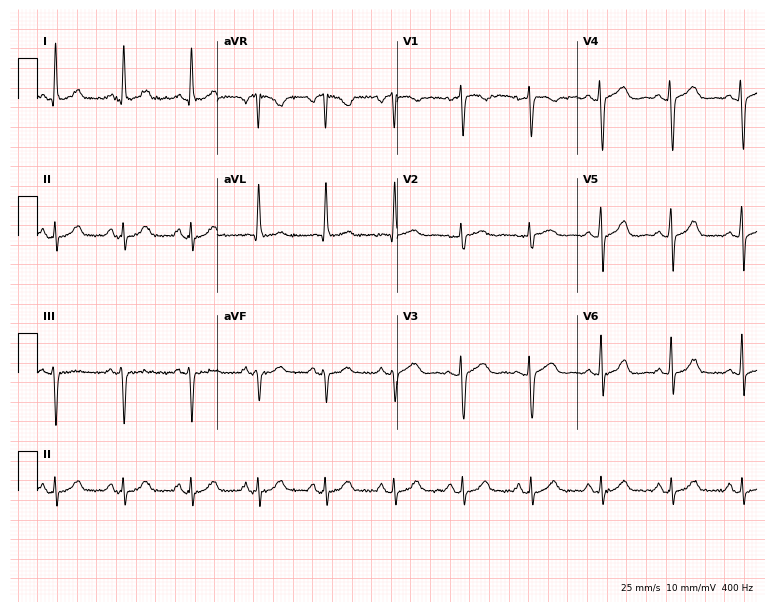
12-lead ECG from a 52-year-old woman (7.3-second recording at 400 Hz). No first-degree AV block, right bundle branch block (RBBB), left bundle branch block (LBBB), sinus bradycardia, atrial fibrillation (AF) or sinus tachycardia recorded for this tracing.